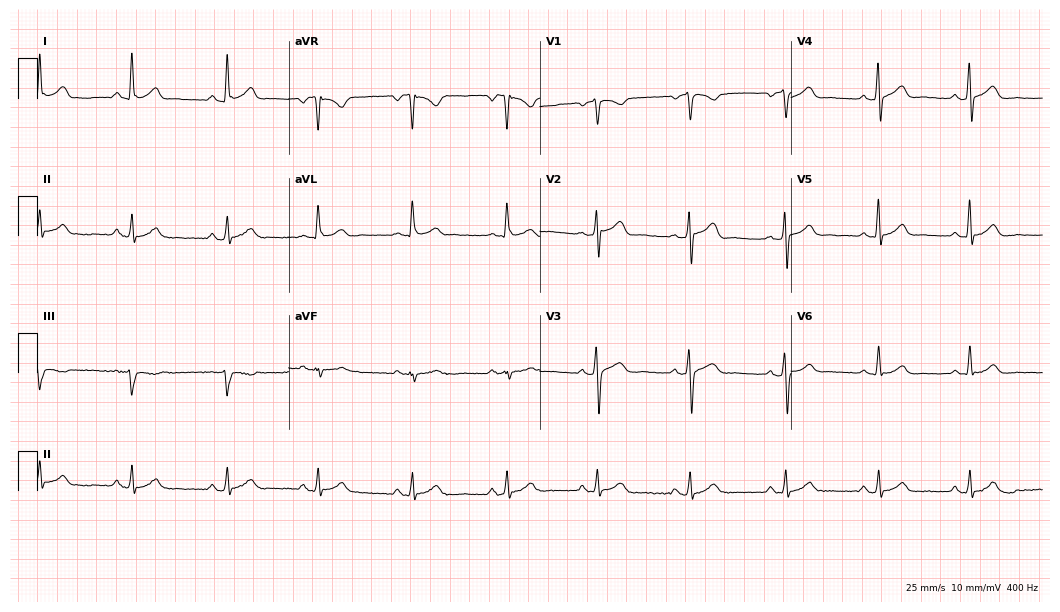
Electrocardiogram, a 34-year-old male. Overall reading on record: normal ECG.